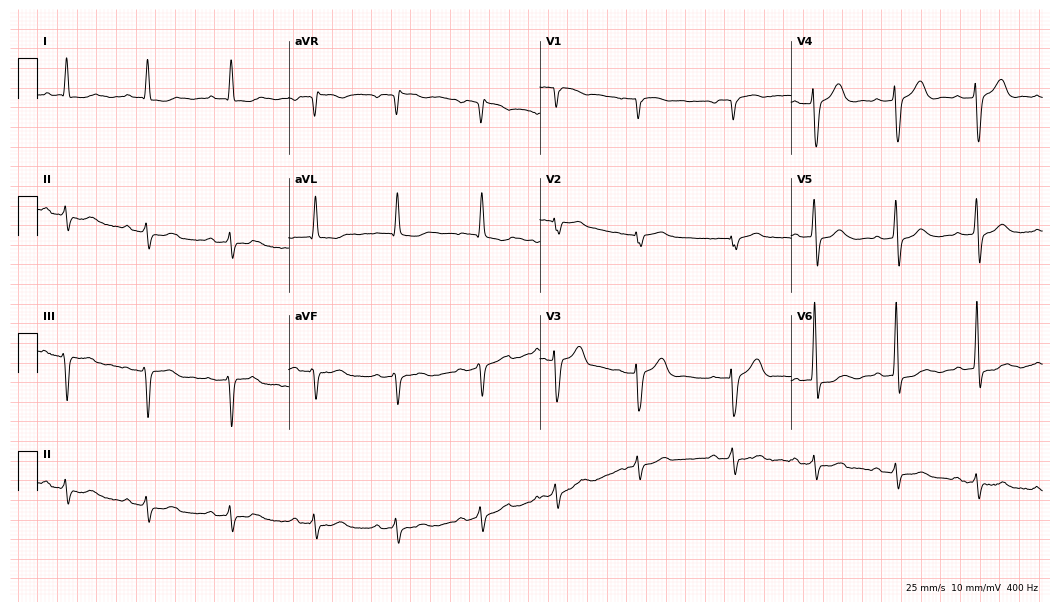
Electrocardiogram, an 82-year-old woman. Of the six screened findings (first-degree AV block, right bundle branch block, left bundle branch block, sinus bradycardia, atrial fibrillation, sinus tachycardia), none is recorded. Only these six findings were labelled.